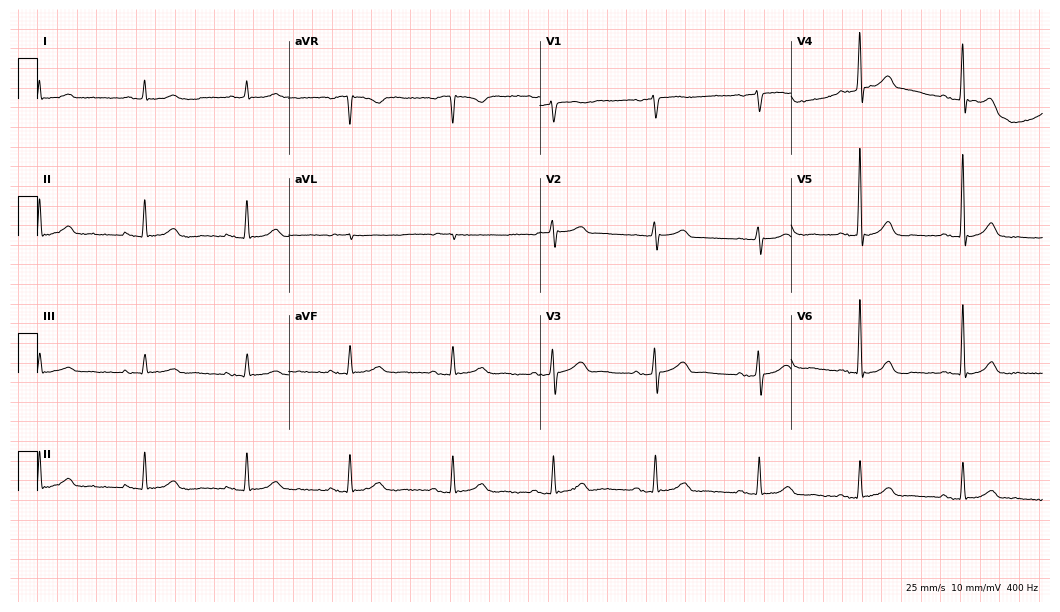
12-lead ECG from a 71-year-old male. Labelled as a normal ECG.